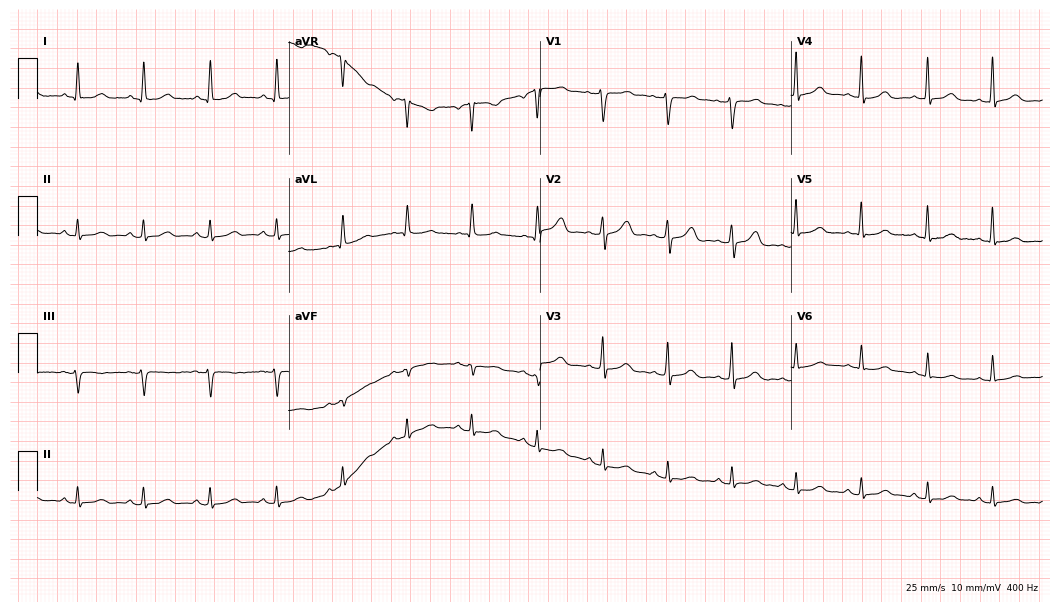
Resting 12-lead electrocardiogram (10.2-second recording at 400 Hz). Patient: a female, 50 years old. Read as a normal ECG.